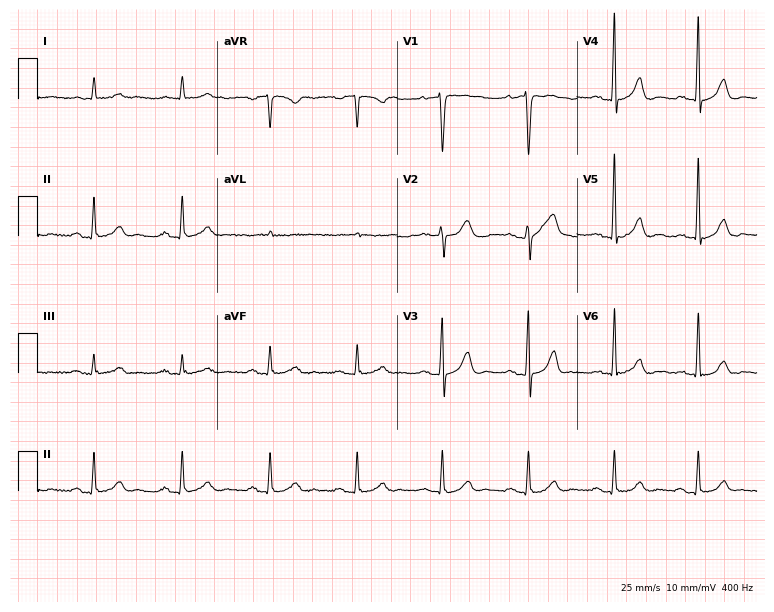
ECG — a 78-year-old male patient. Labelled as a normal ECG.